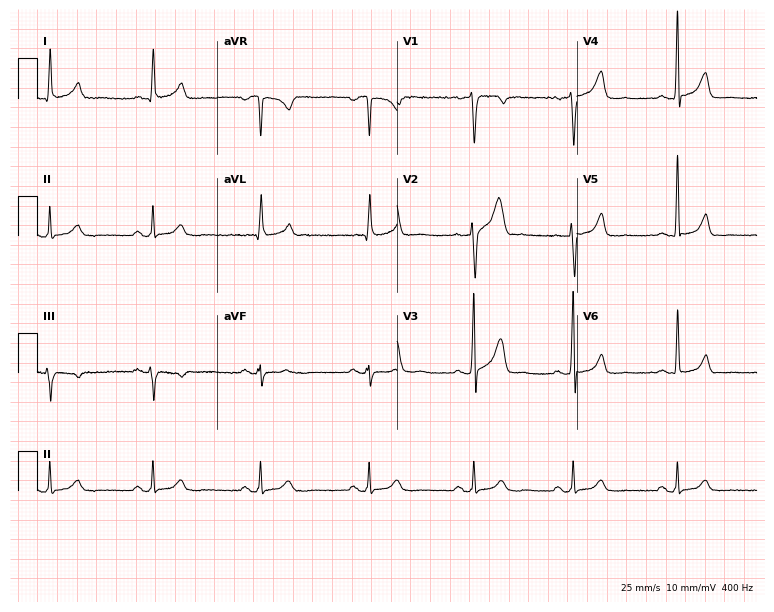
ECG (7.3-second recording at 400 Hz) — a male, 45 years old. Labelled as a normal ECG.